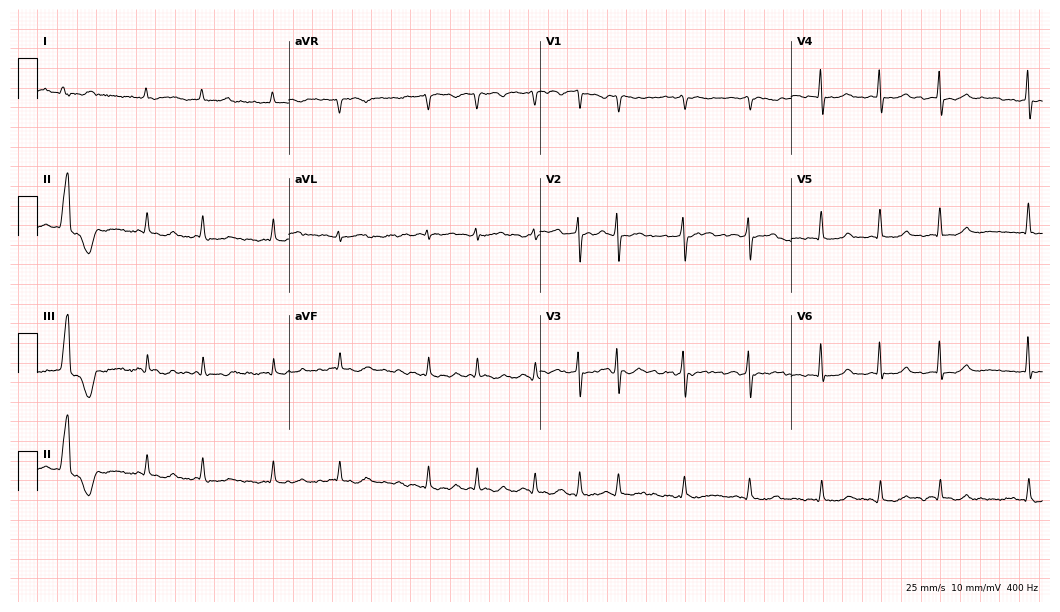
Electrocardiogram (10.2-second recording at 400 Hz), an 82-year-old woman. Interpretation includes atrial fibrillation.